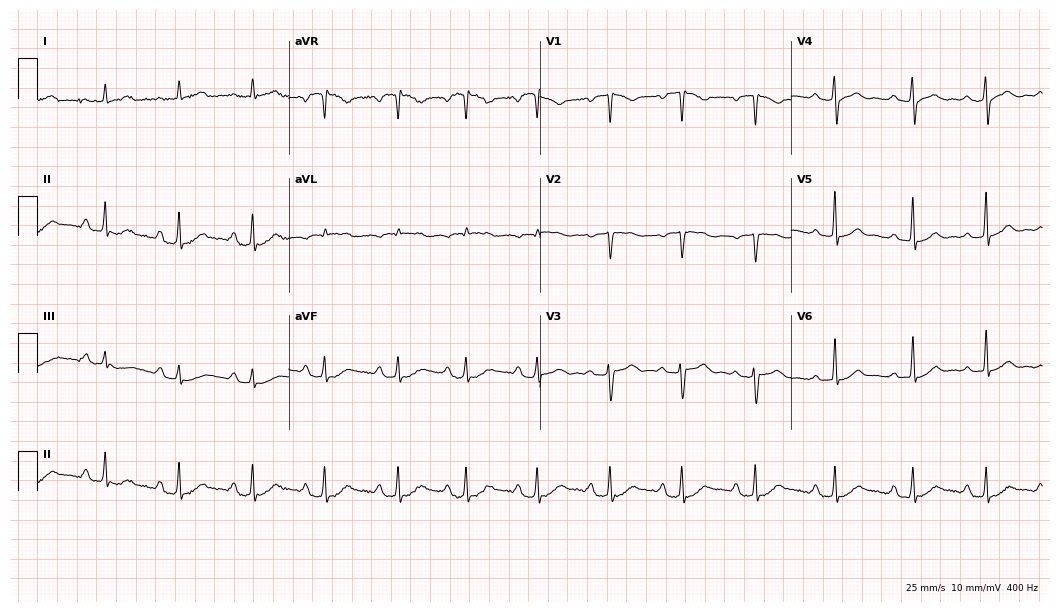
Standard 12-lead ECG recorded from a female, 37 years old (10.2-second recording at 400 Hz). Read as a normal ECG.